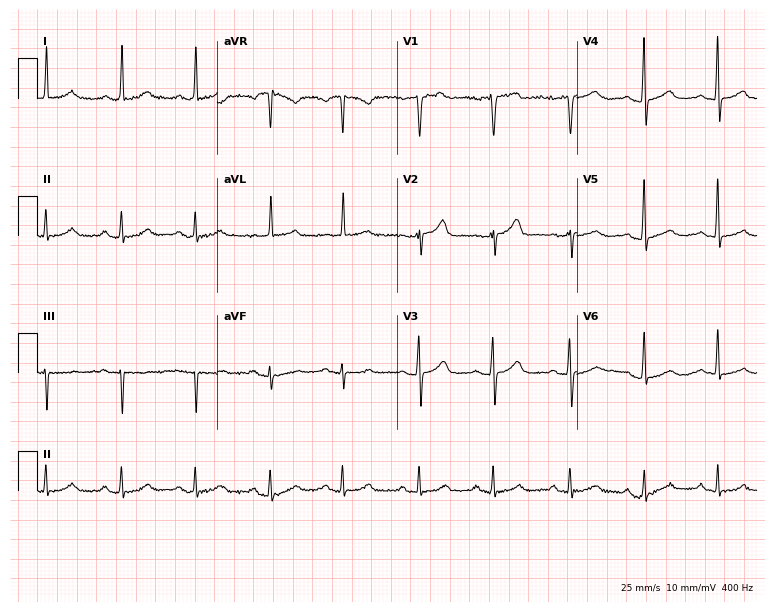
12-lead ECG from a 63-year-old woman. Labelled as a normal ECG.